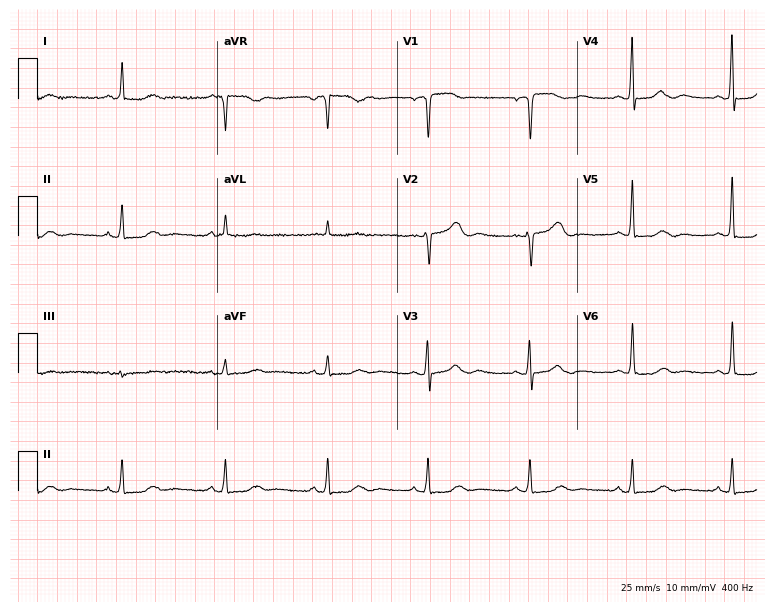
Standard 12-lead ECG recorded from a woman, 77 years old. None of these six findings is recorded: first-degree AV block, right bundle branch block, left bundle branch block, sinus bradycardia, atrial fibrillation, sinus tachycardia.